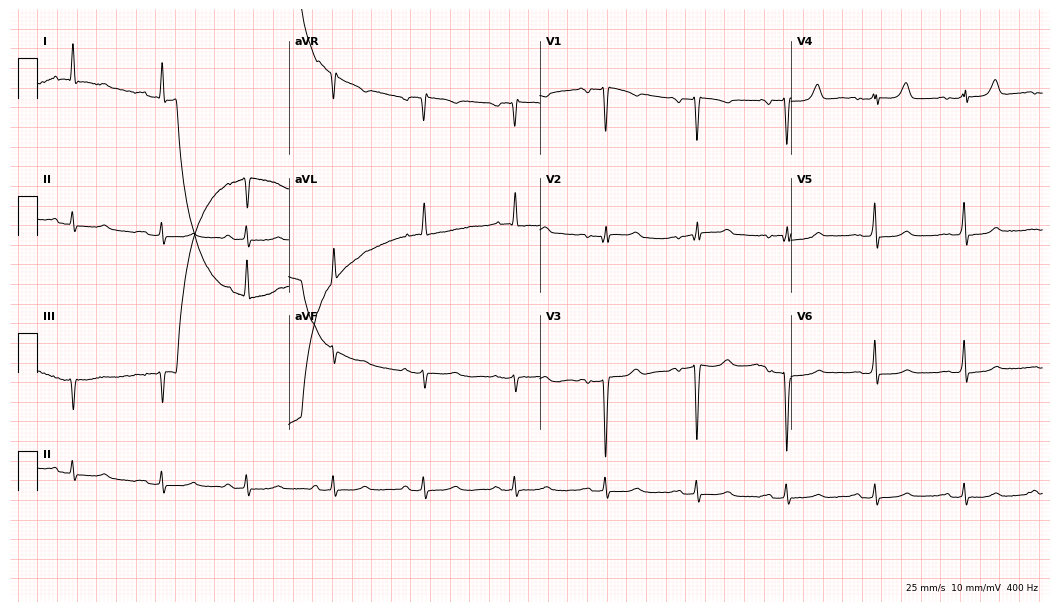
ECG (10.2-second recording at 400 Hz) — a 78-year-old female. Screened for six findings — first-degree AV block, right bundle branch block (RBBB), left bundle branch block (LBBB), sinus bradycardia, atrial fibrillation (AF), sinus tachycardia — none is recorded.